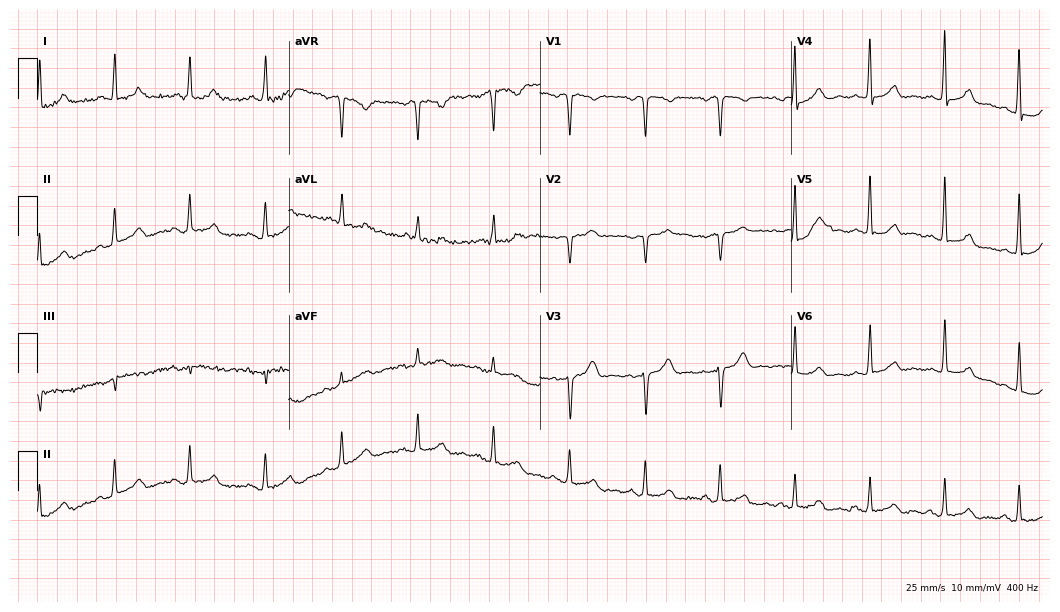
Electrocardiogram (10.2-second recording at 400 Hz), a 44-year-old female. Of the six screened findings (first-degree AV block, right bundle branch block, left bundle branch block, sinus bradycardia, atrial fibrillation, sinus tachycardia), none is recorded. Only these six findings were labelled.